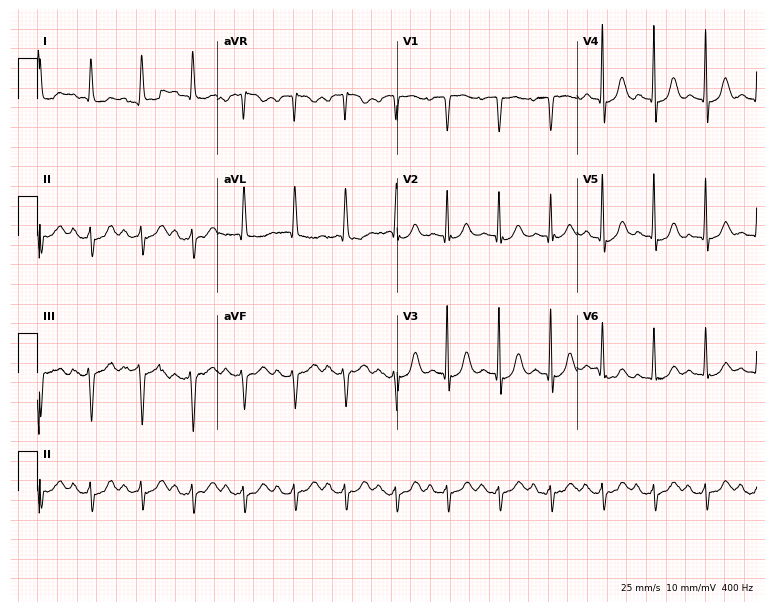
Standard 12-lead ECG recorded from a female patient, 79 years old. None of these six findings is recorded: first-degree AV block, right bundle branch block (RBBB), left bundle branch block (LBBB), sinus bradycardia, atrial fibrillation (AF), sinus tachycardia. Other findings, if any, are not listed.